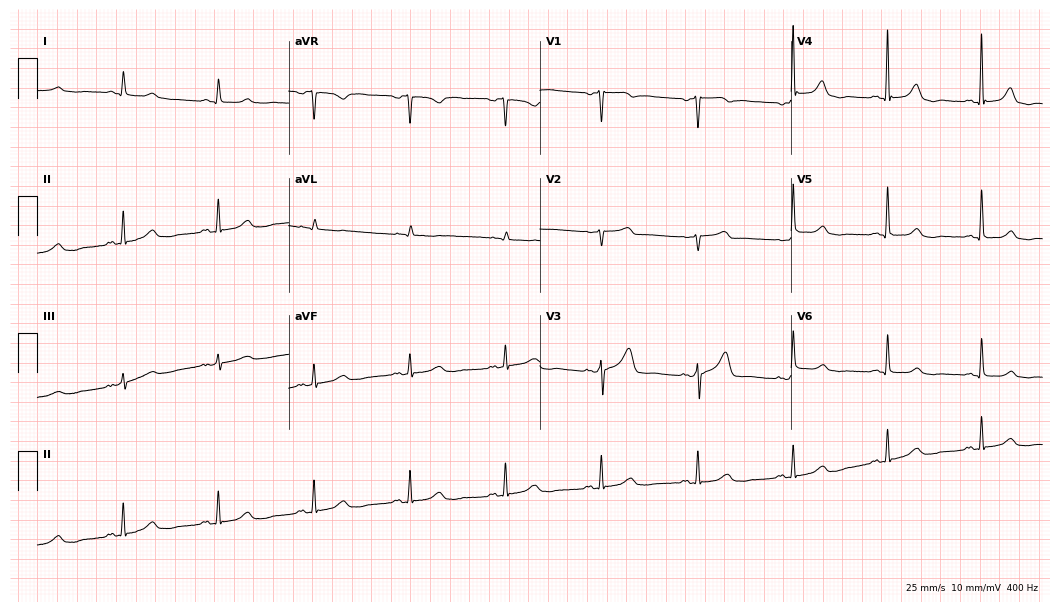
Standard 12-lead ECG recorded from a female patient, 67 years old (10.2-second recording at 400 Hz). None of these six findings is recorded: first-degree AV block, right bundle branch block (RBBB), left bundle branch block (LBBB), sinus bradycardia, atrial fibrillation (AF), sinus tachycardia. Other findings, if any, are not listed.